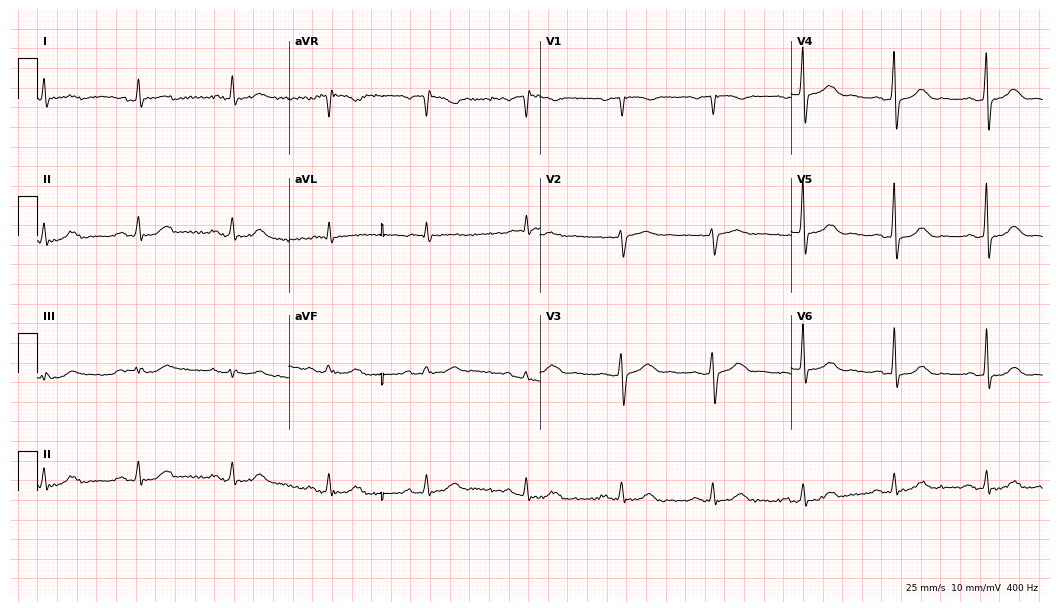
ECG — a male, 68 years old. Labelled as a normal ECG.